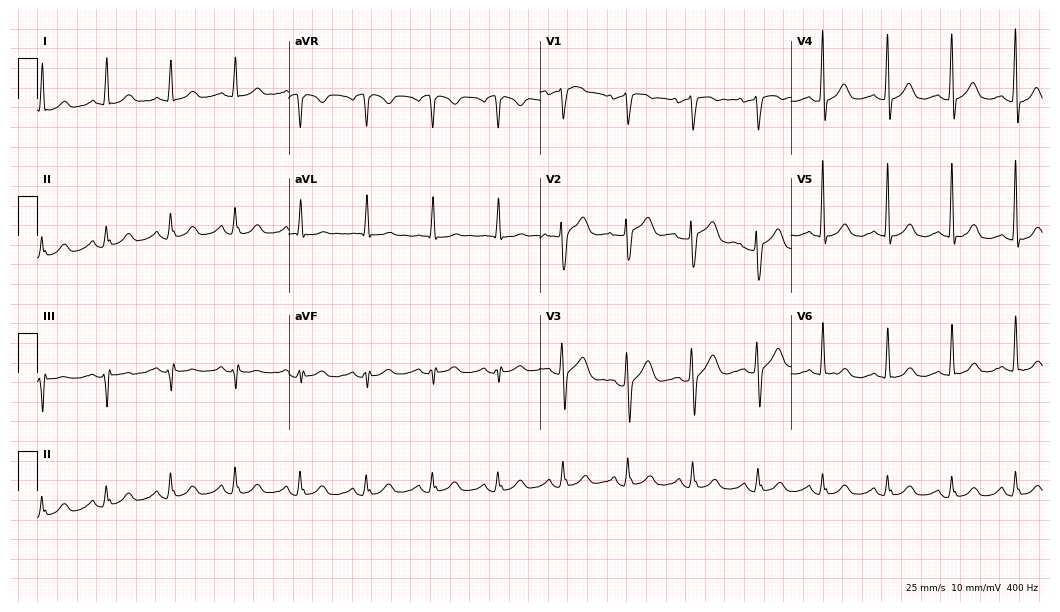
ECG — a woman, 54 years old. Labelled as a normal ECG.